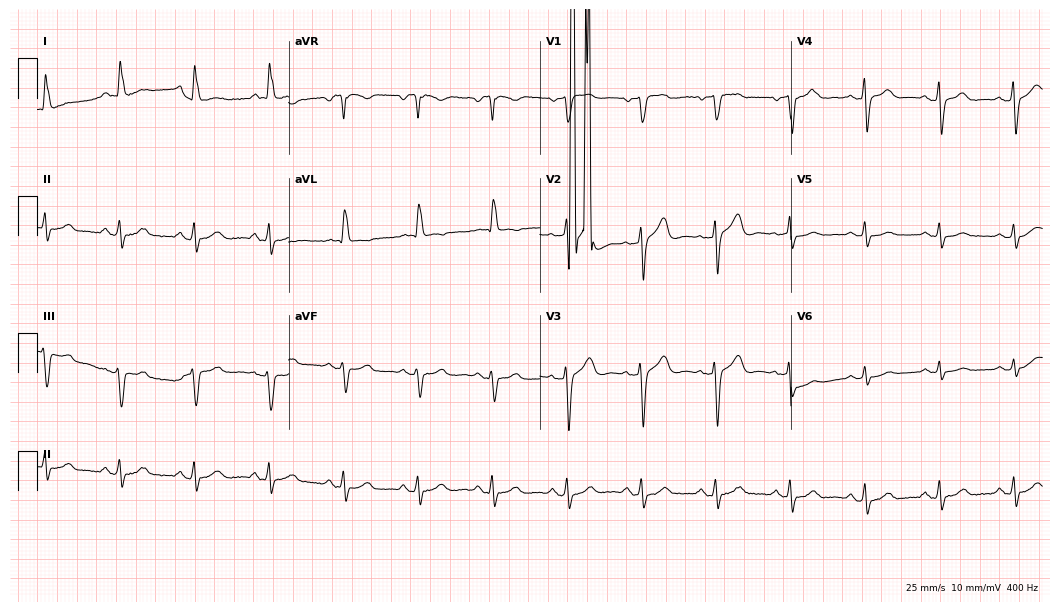
ECG (10.2-second recording at 400 Hz) — a 62-year-old woman. Screened for six findings — first-degree AV block, right bundle branch block (RBBB), left bundle branch block (LBBB), sinus bradycardia, atrial fibrillation (AF), sinus tachycardia — none is recorded.